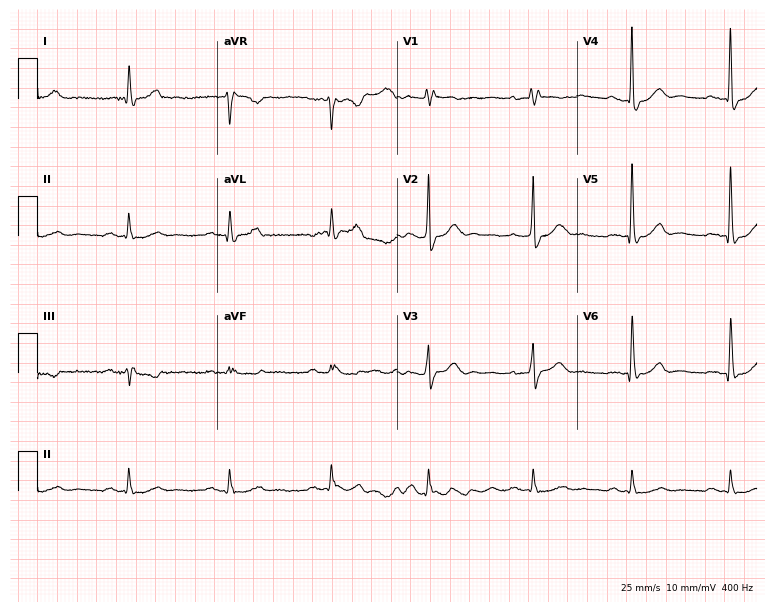
12-lead ECG from a man, 79 years old. Findings include right bundle branch block (RBBB).